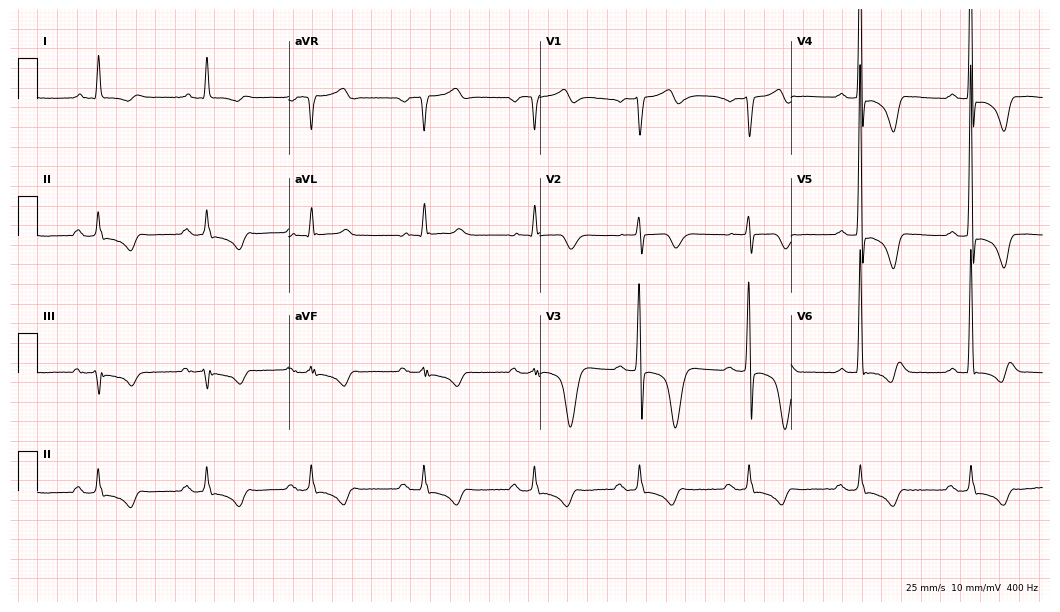
12-lead ECG (10.2-second recording at 400 Hz) from a 65-year-old male patient. Findings include first-degree AV block.